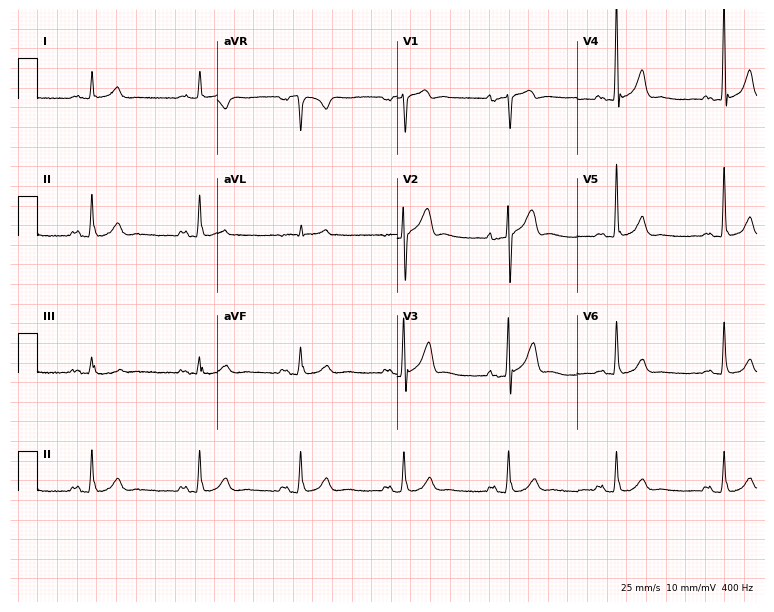
12-lead ECG from a 54-year-old male (7.3-second recording at 400 Hz). No first-degree AV block, right bundle branch block, left bundle branch block, sinus bradycardia, atrial fibrillation or sinus tachycardia recorded for this tracing. Other findings, if any, are not listed.